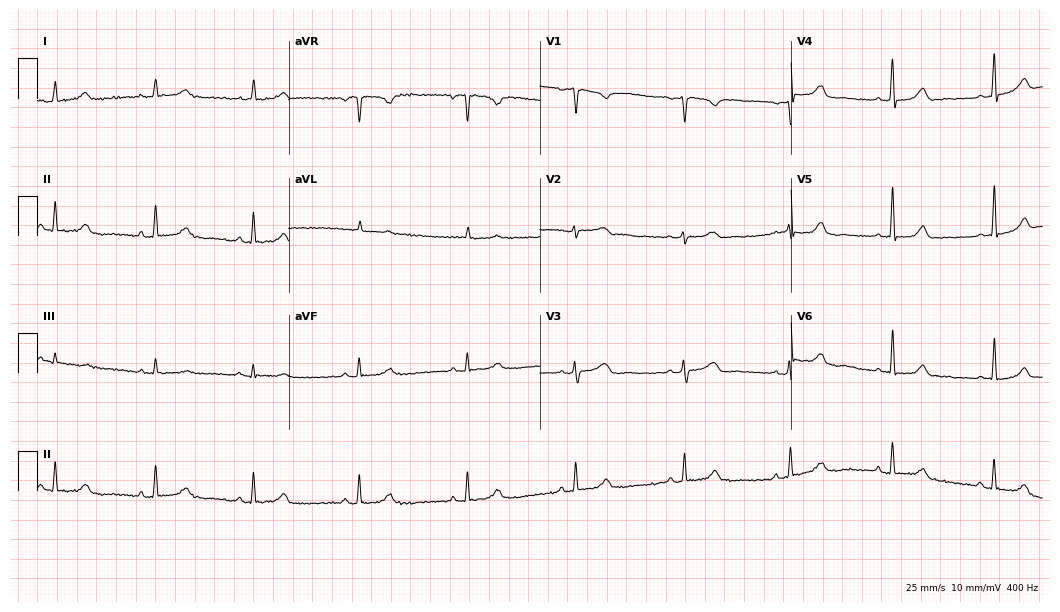
12-lead ECG (10.2-second recording at 400 Hz) from a 44-year-old female patient. Screened for six findings — first-degree AV block, right bundle branch block, left bundle branch block, sinus bradycardia, atrial fibrillation, sinus tachycardia — none is recorded.